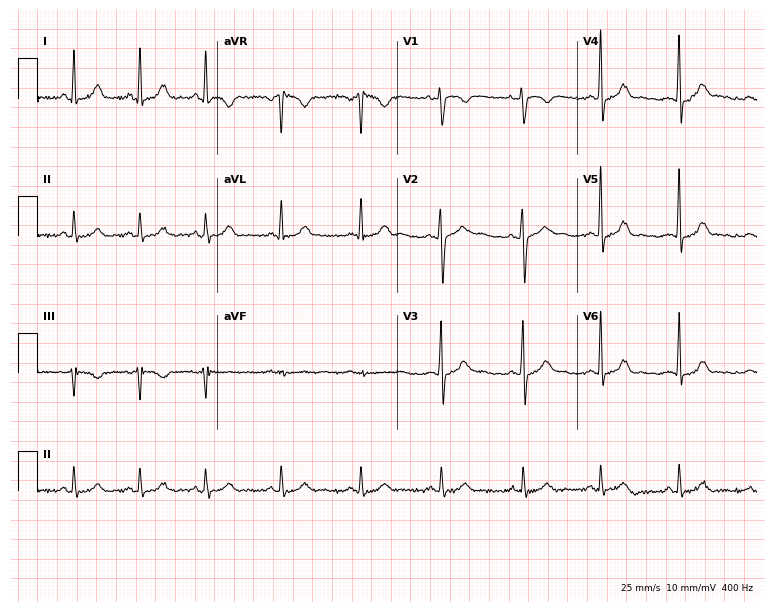
ECG — a 21-year-old woman. Screened for six findings — first-degree AV block, right bundle branch block (RBBB), left bundle branch block (LBBB), sinus bradycardia, atrial fibrillation (AF), sinus tachycardia — none is recorded. Only these six findings were labelled.